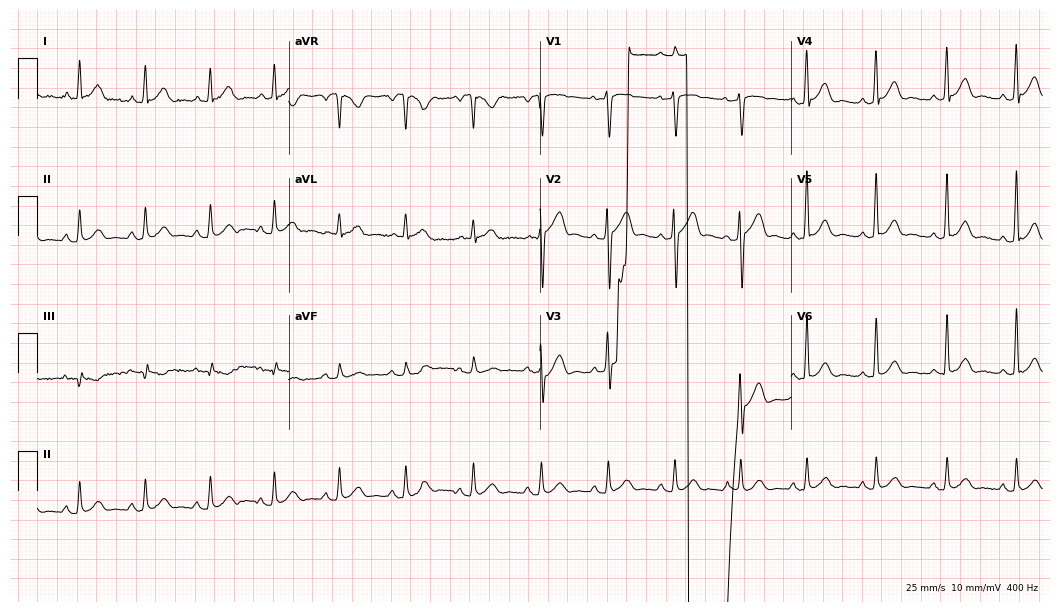
ECG (10.2-second recording at 400 Hz) — a 42-year-old man. Screened for six findings — first-degree AV block, right bundle branch block, left bundle branch block, sinus bradycardia, atrial fibrillation, sinus tachycardia — none is recorded. Only these six findings were labelled.